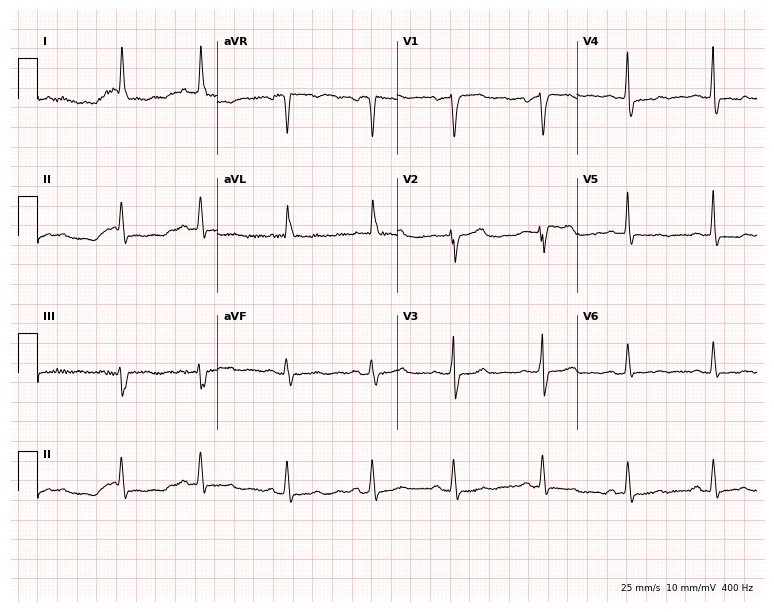
Standard 12-lead ECG recorded from a 66-year-old female patient (7.3-second recording at 400 Hz). None of these six findings is recorded: first-degree AV block, right bundle branch block (RBBB), left bundle branch block (LBBB), sinus bradycardia, atrial fibrillation (AF), sinus tachycardia. Only these six findings were labelled.